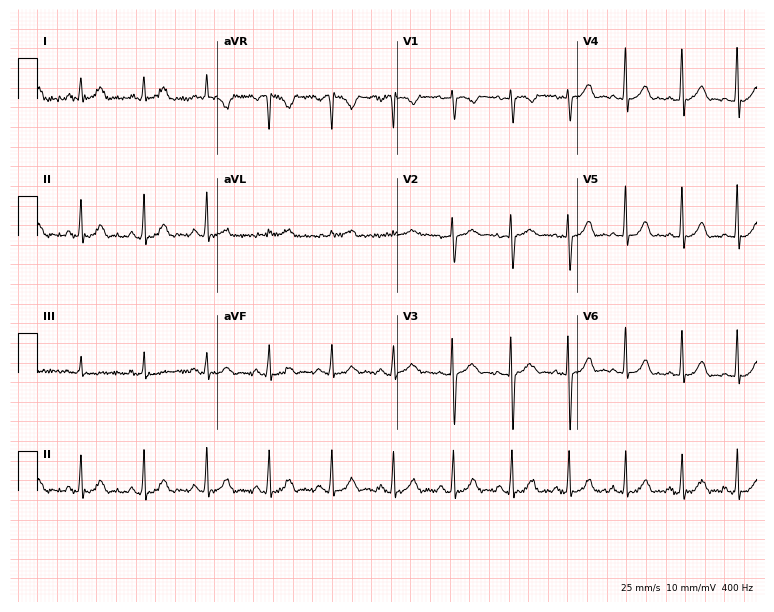
12-lead ECG from a 46-year-old female. Recorded interpretation: within normal limits.